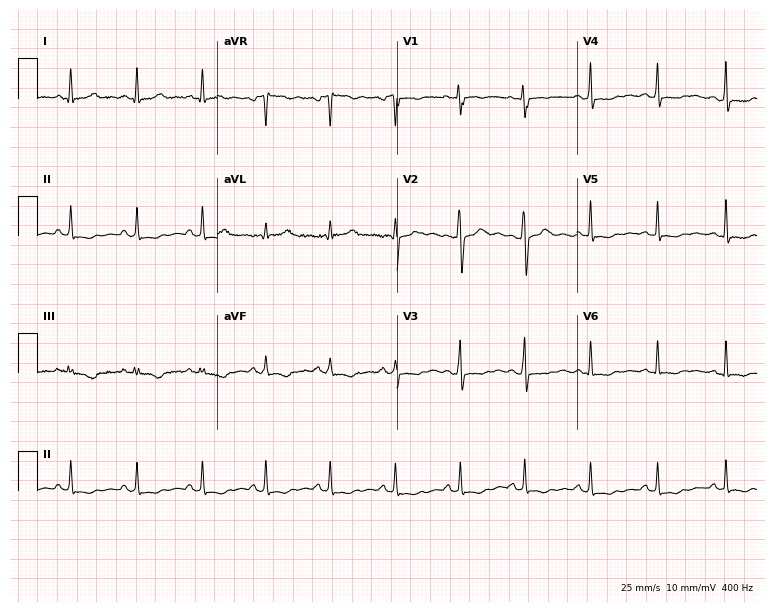
Resting 12-lead electrocardiogram. Patient: a 25-year-old female. Read as a normal ECG.